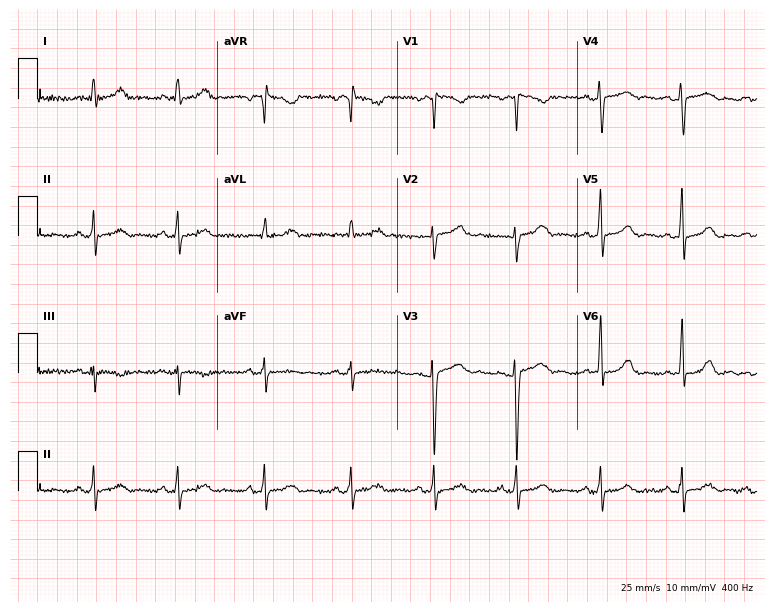
ECG — a 42-year-old female. Screened for six findings — first-degree AV block, right bundle branch block, left bundle branch block, sinus bradycardia, atrial fibrillation, sinus tachycardia — none is recorded.